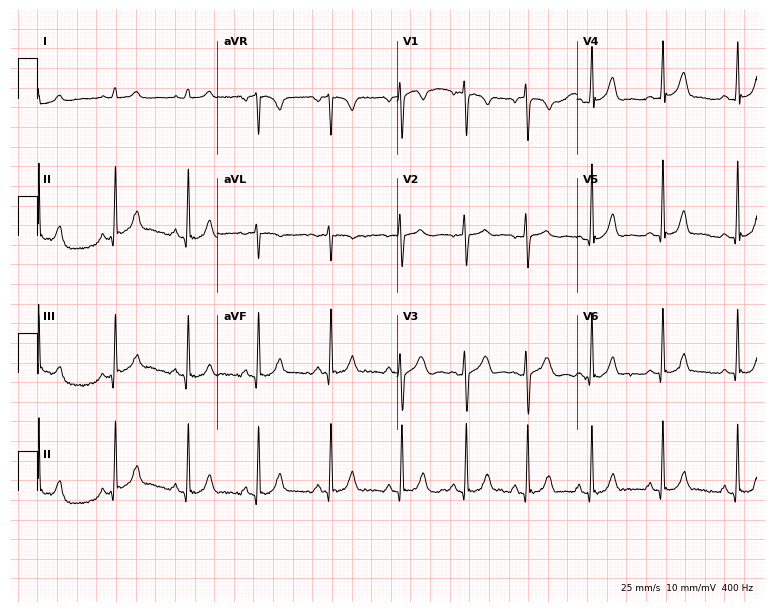
ECG — a 22-year-old woman. Screened for six findings — first-degree AV block, right bundle branch block, left bundle branch block, sinus bradycardia, atrial fibrillation, sinus tachycardia — none is recorded.